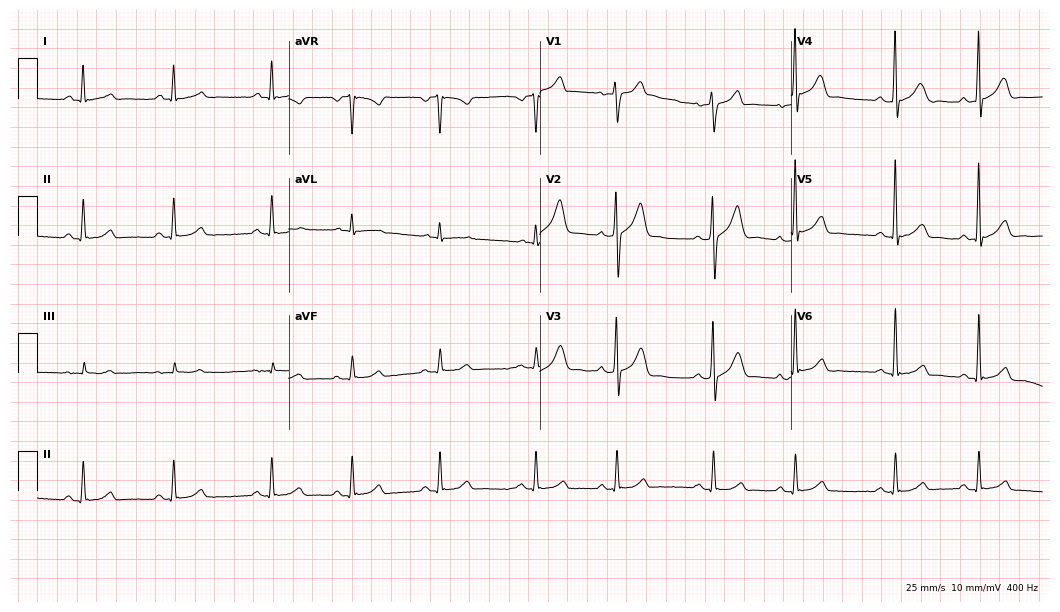
12-lead ECG (10.2-second recording at 400 Hz) from a man, 63 years old. Labelled as a normal ECG.